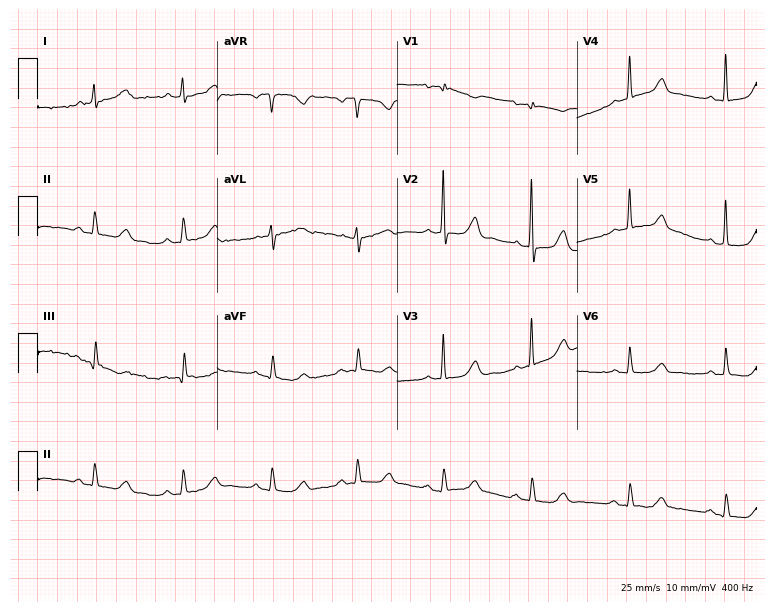
12-lead ECG from a woman, 69 years old (7.3-second recording at 400 Hz). No first-degree AV block, right bundle branch block, left bundle branch block, sinus bradycardia, atrial fibrillation or sinus tachycardia recorded for this tracing.